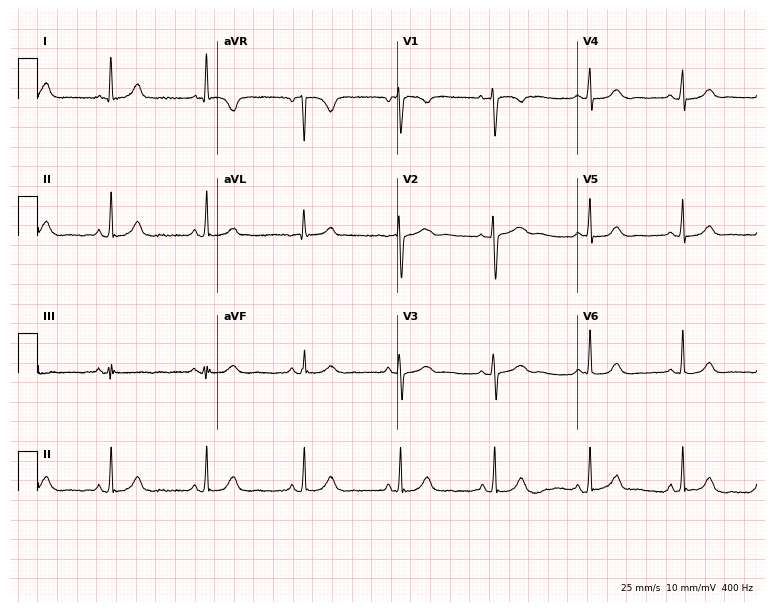
12-lead ECG from a female patient, 51 years old (7.3-second recording at 400 Hz). No first-degree AV block, right bundle branch block (RBBB), left bundle branch block (LBBB), sinus bradycardia, atrial fibrillation (AF) or sinus tachycardia recorded for this tracing.